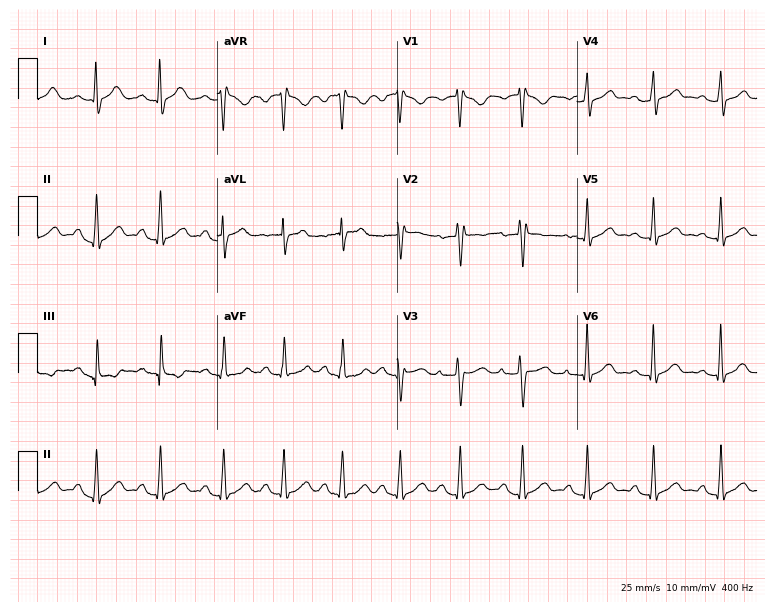
12-lead ECG (7.3-second recording at 400 Hz) from an 18-year-old woman. Screened for six findings — first-degree AV block, right bundle branch block, left bundle branch block, sinus bradycardia, atrial fibrillation, sinus tachycardia — none is recorded. Only these six findings were labelled.